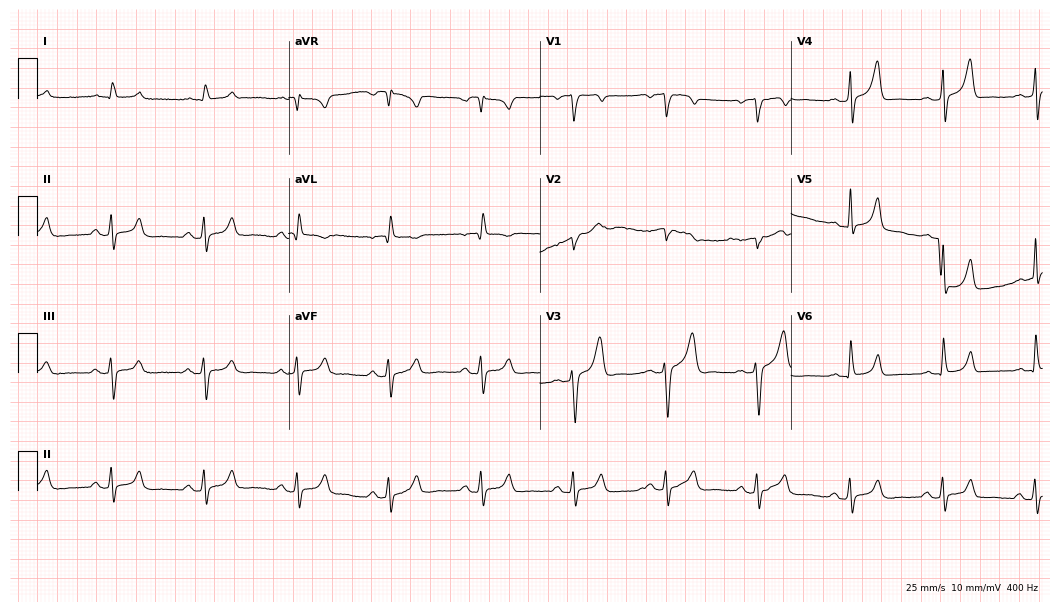
Electrocardiogram (10.2-second recording at 400 Hz), a man, 47 years old. Of the six screened findings (first-degree AV block, right bundle branch block, left bundle branch block, sinus bradycardia, atrial fibrillation, sinus tachycardia), none is recorded.